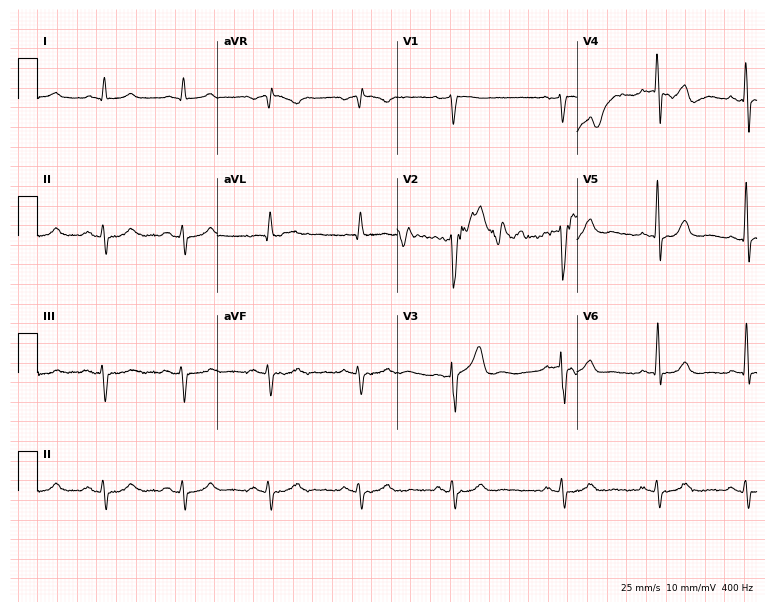
12-lead ECG from a man, 75 years old (7.3-second recording at 400 Hz). No first-degree AV block, right bundle branch block (RBBB), left bundle branch block (LBBB), sinus bradycardia, atrial fibrillation (AF) or sinus tachycardia recorded for this tracing.